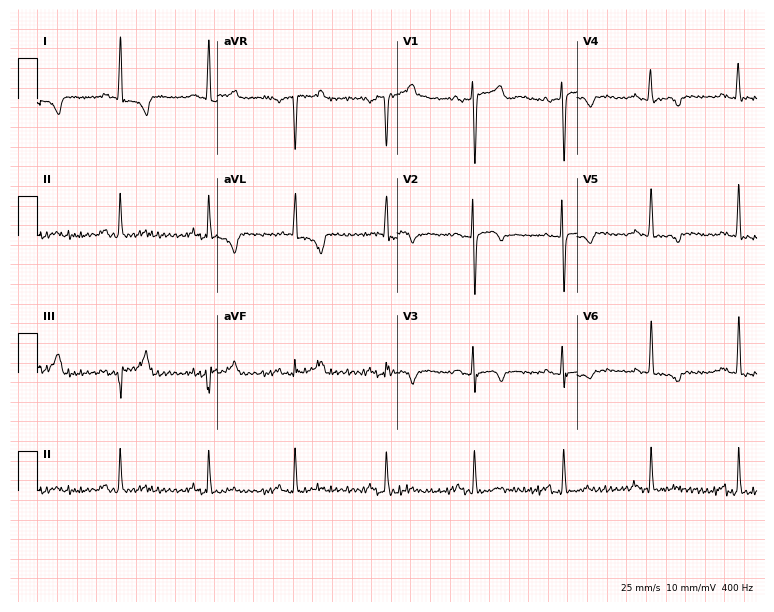
Electrocardiogram (7.3-second recording at 400 Hz), a 77-year-old male. Of the six screened findings (first-degree AV block, right bundle branch block, left bundle branch block, sinus bradycardia, atrial fibrillation, sinus tachycardia), none is recorded.